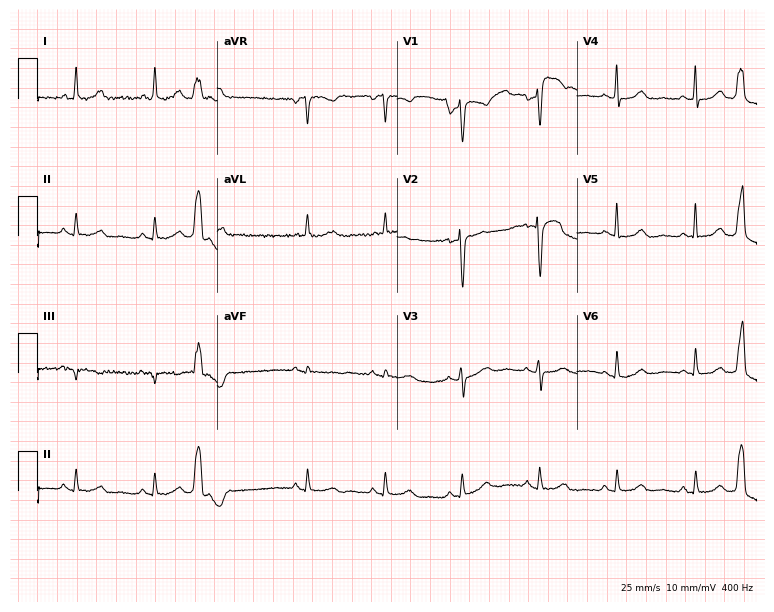
12-lead ECG from a female patient, 58 years old (7.3-second recording at 400 Hz). No first-degree AV block, right bundle branch block, left bundle branch block, sinus bradycardia, atrial fibrillation or sinus tachycardia recorded for this tracing. Other findings, if any, are not listed.